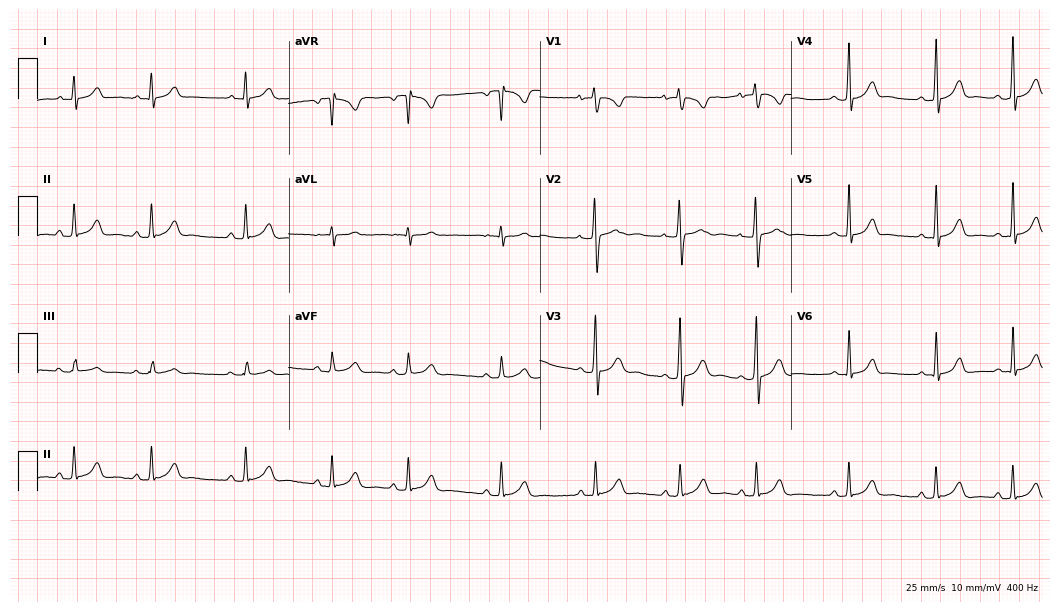
Standard 12-lead ECG recorded from a 43-year-old man. Read as a normal ECG.